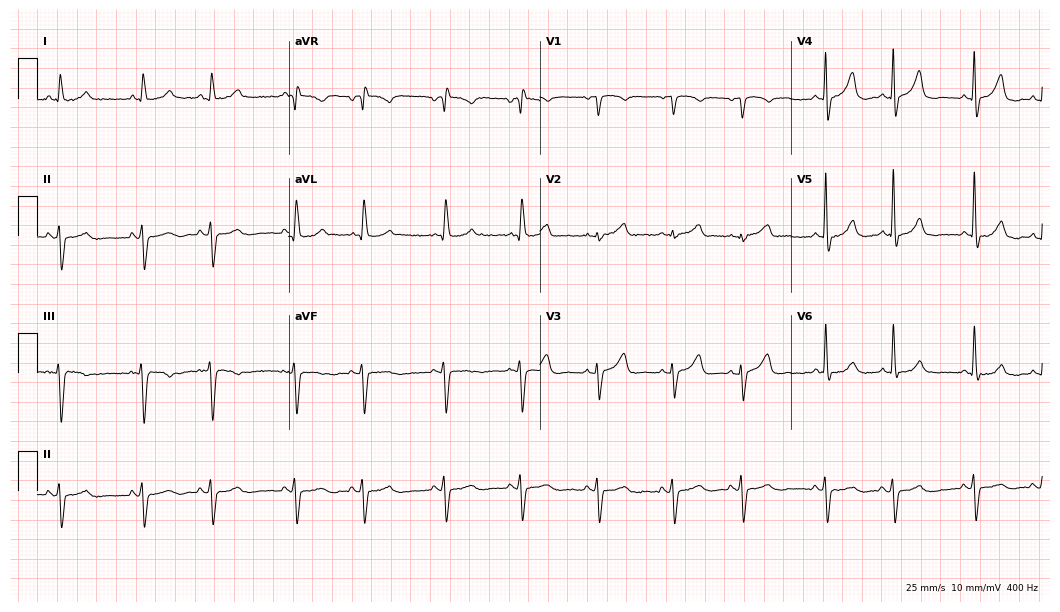
12-lead ECG from a female patient, 82 years old (10.2-second recording at 400 Hz). No first-degree AV block, right bundle branch block, left bundle branch block, sinus bradycardia, atrial fibrillation or sinus tachycardia recorded for this tracing.